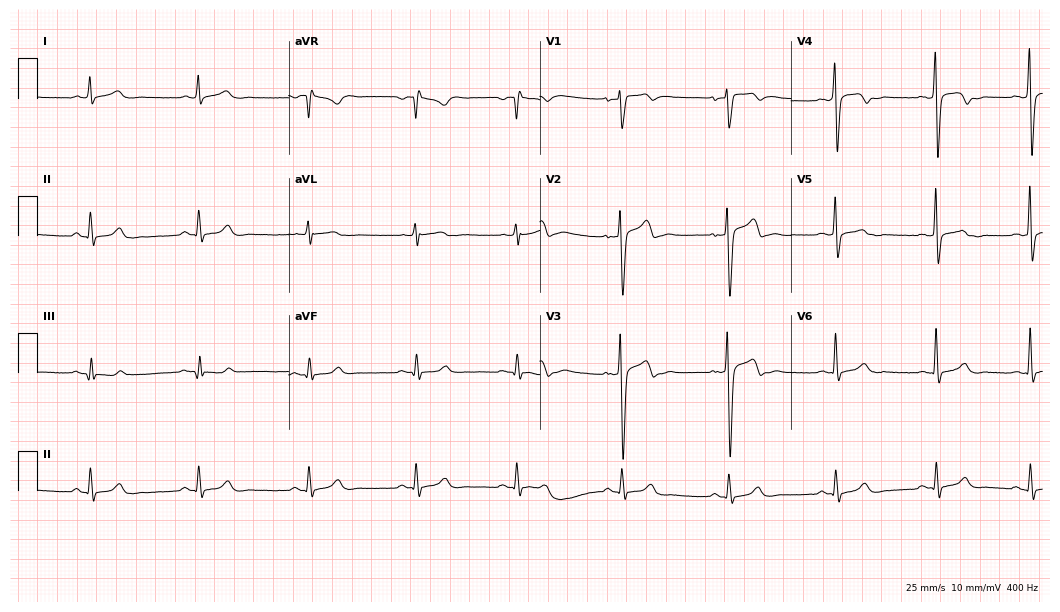
Electrocardiogram, a man, 48 years old. Of the six screened findings (first-degree AV block, right bundle branch block, left bundle branch block, sinus bradycardia, atrial fibrillation, sinus tachycardia), none is recorded. Other findings, if any, are not listed.